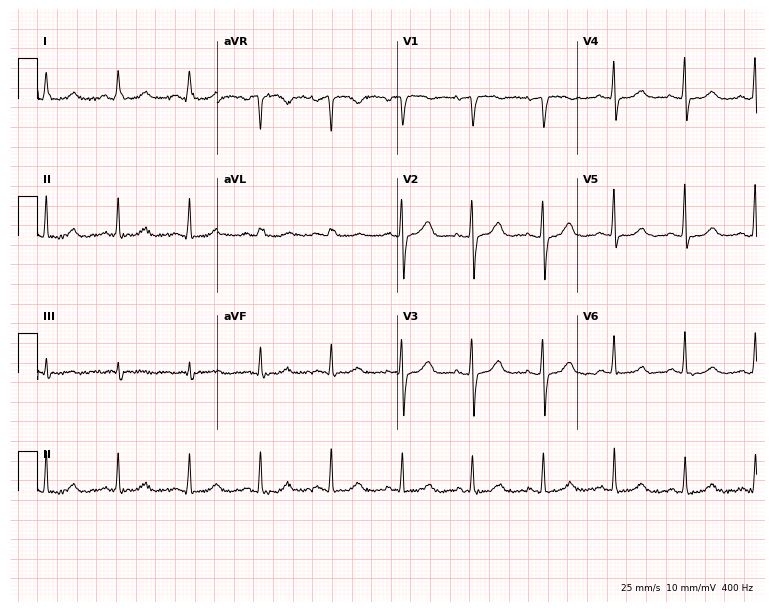
Resting 12-lead electrocardiogram (7.3-second recording at 400 Hz). Patient: a 62-year-old female. None of these six findings is recorded: first-degree AV block, right bundle branch block, left bundle branch block, sinus bradycardia, atrial fibrillation, sinus tachycardia.